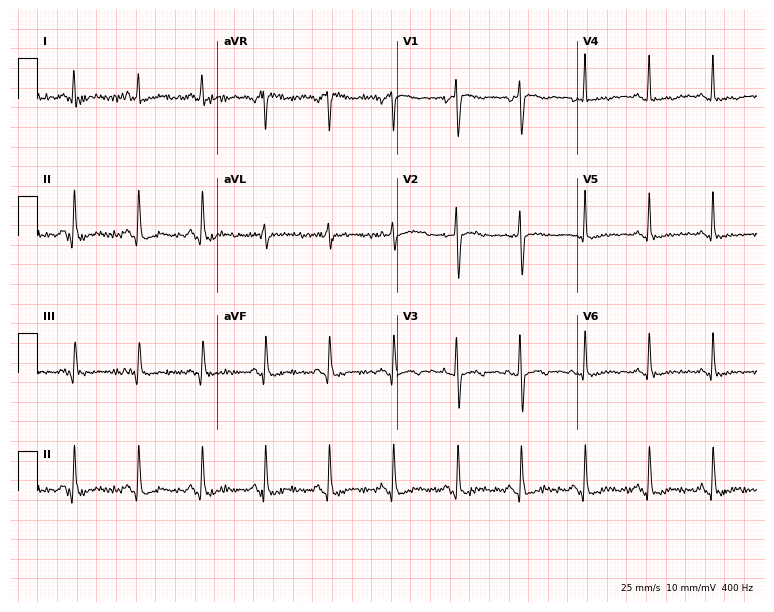
Electrocardiogram (7.3-second recording at 400 Hz), a 43-year-old female patient. Of the six screened findings (first-degree AV block, right bundle branch block (RBBB), left bundle branch block (LBBB), sinus bradycardia, atrial fibrillation (AF), sinus tachycardia), none is recorded. Findings outside these six are not listed.